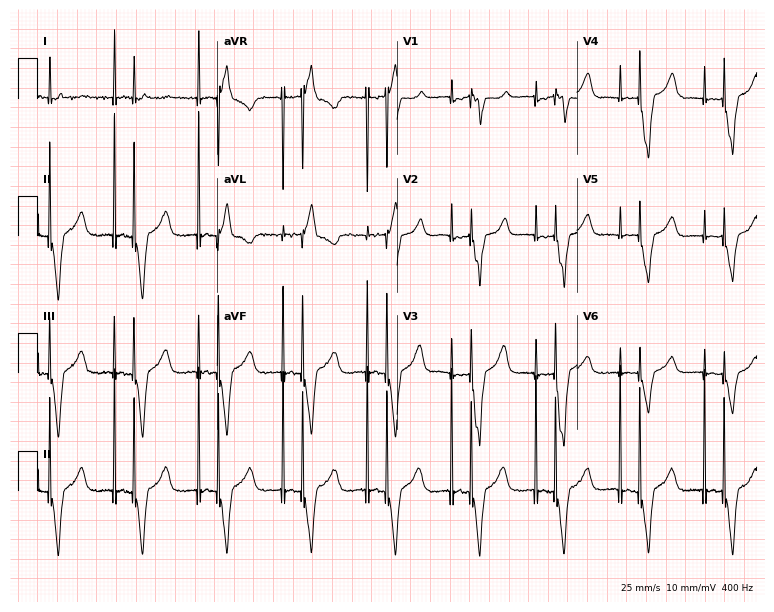
12-lead ECG from a male, 78 years old. No first-degree AV block, right bundle branch block, left bundle branch block, sinus bradycardia, atrial fibrillation or sinus tachycardia recorded for this tracing.